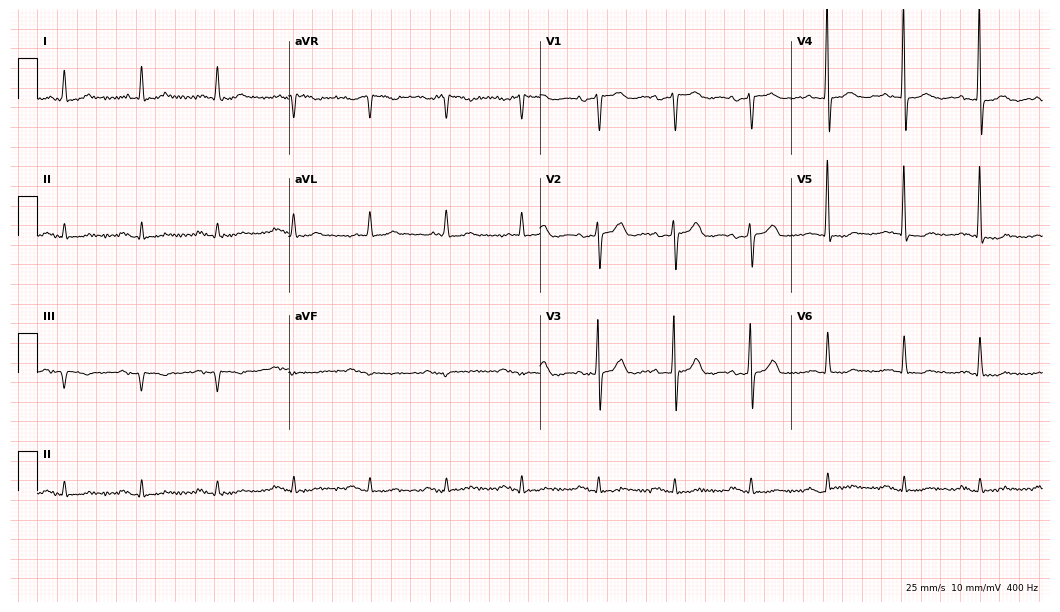
Standard 12-lead ECG recorded from an 84-year-old male (10.2-second recording at 400 Hz). None of these six findings is recorded: first-degree AV block, right bundle branch block (RBBB), left bundle branch block (LBBB), sinus bradycardia, atrial fibrillation (AF), sinus tachycardia. Only these six findings were labelled.